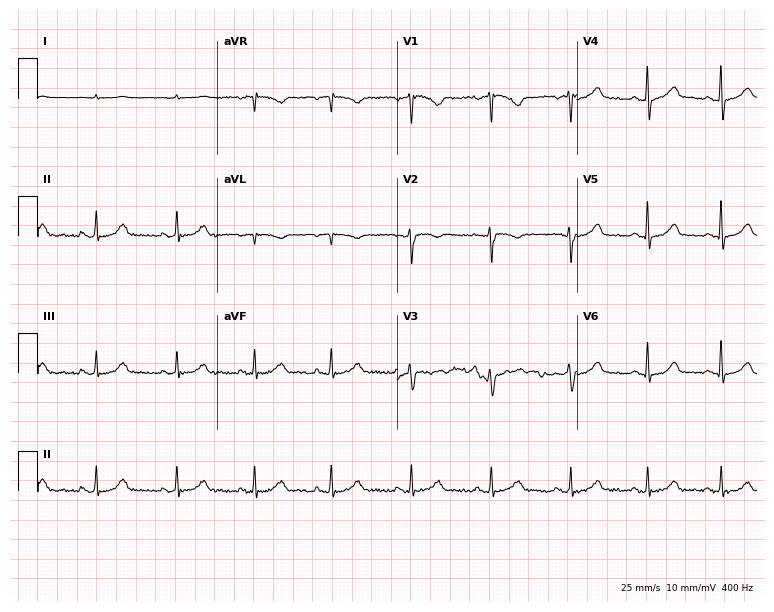
Standard 12-lead ECG recorded from a 34-year-old female (7.3-second recording at 400 Hz). None of these six findings is recorded: first-degree AV block, right bundle branch block, left bundle branch block, sinus bradycardia, atrial fibrillation, sinus tachycardia. Other findings, if any, are not listed.